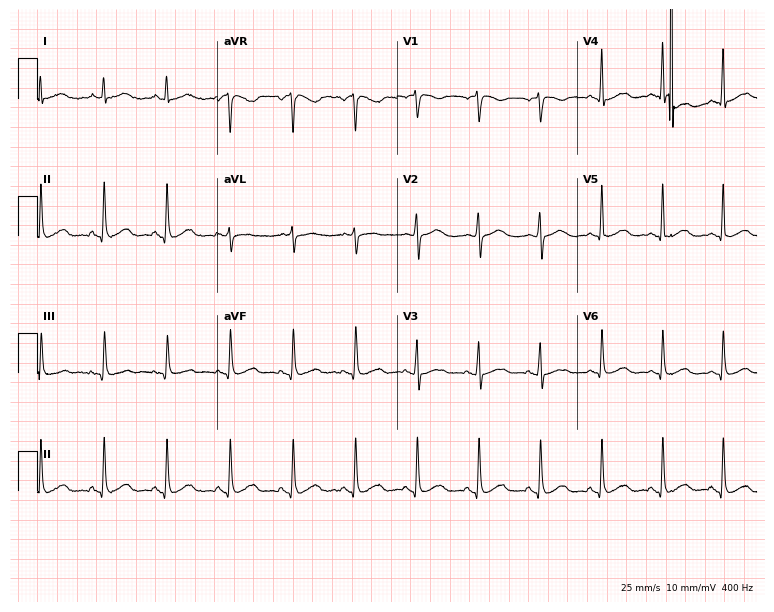
12-lead ECG (7.3-second recording at 400 Hz) from a 52-year-old woman. Labelled as a normal ECG.